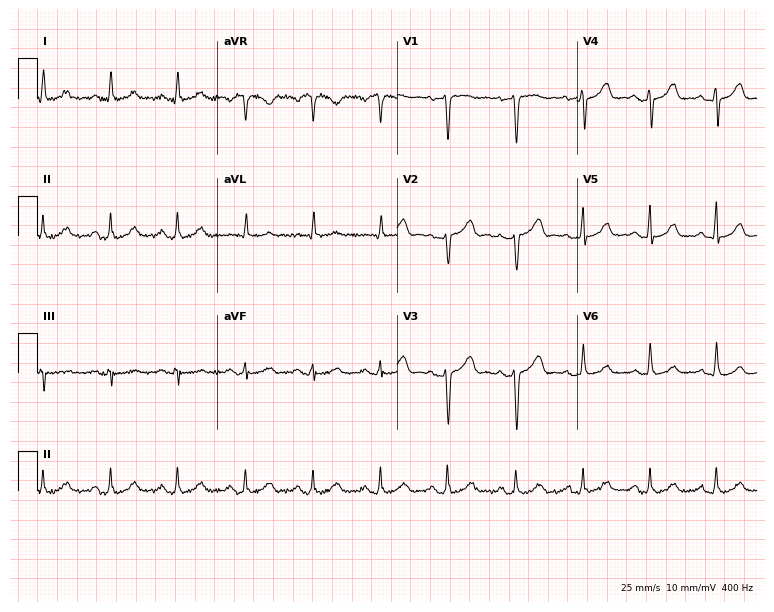
Standard 12-lead ECG recorded from a female patient, 71 years old (7.3-second recording at 400 Hz). None of these six findings is recorded: first-degree AV block, right bundle branch block (RBBB), left bundle branch block (LBBB), sinus bradycardia, atrial fibrillation (AF), sinus tachycardia. Only these six findings were labelled.